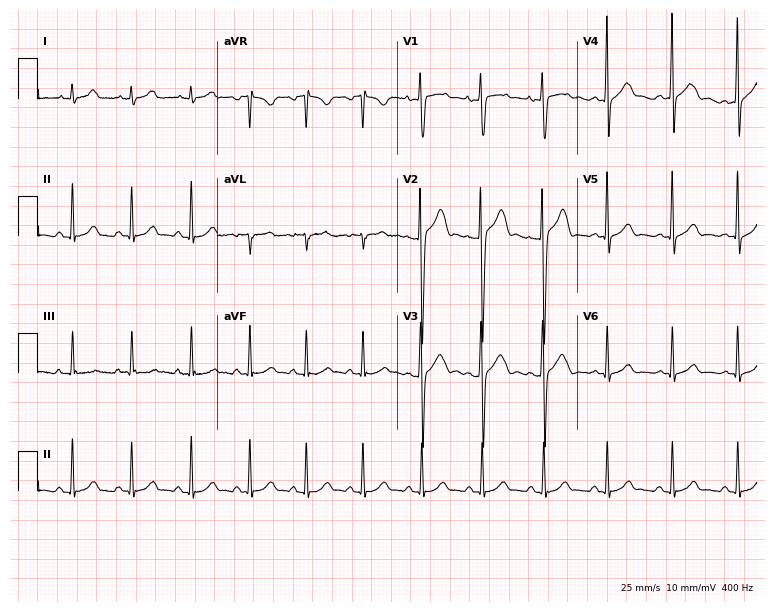
Standard 12-lead ECG recorded from an 18-year-old male patient. Read as a normal ECG.